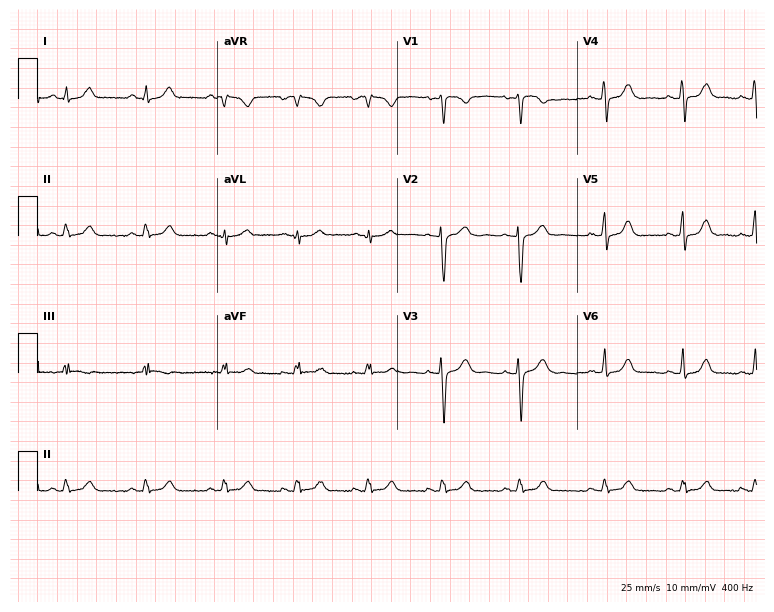
Electrocardiogram (7.3-second recording at 400 Hz), a woman, 27 years old. Of the six screened findings (first-degree AV block, right bundle branch block, left bundle branch block, sinus bradycardia, atrial fibrillation, sinus tachycardia), none is recorded.